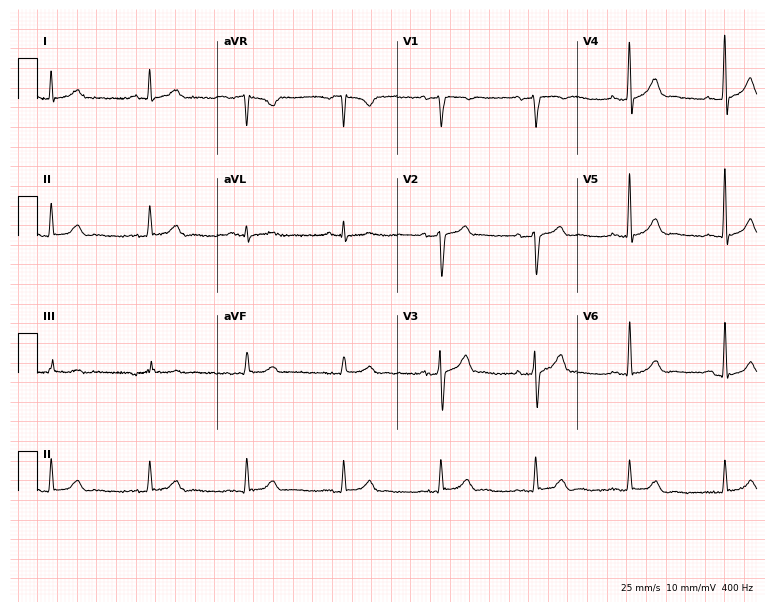
Resting 12-lead electrocardiogram (7.3-second recording at 400 Hz). Patient: a male, 52 years old. Read as a normal ECG.